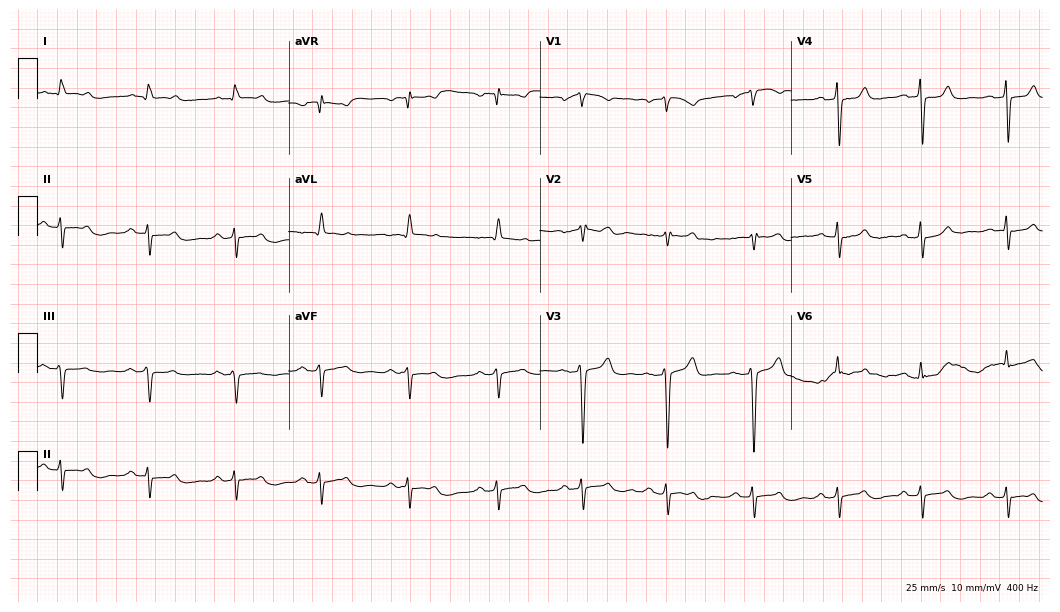
Electrocardiogram, a 63-year-old male. Of the six screened findings (first-degree AV block, right bundle branch block, left bundle branch block, sinus bradycardia, atrial fibrillation, sinus tachycardia), none is recorded. Only these six findings were labelled.